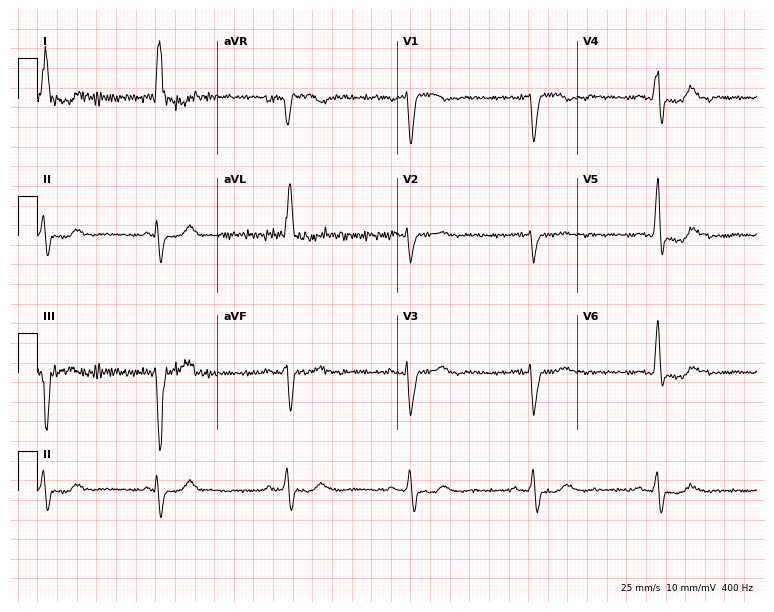
Electrocardiogram (7.3-second recording at 400 Hz), a 78-year-old female. Of the six screened findings (first-degree AV block, right bundle branch block (RBBB), left bundle branch block (LBBB), sinus bradycardia, atrial fibrillation (AF), sinus tachycardia), none is recorded.